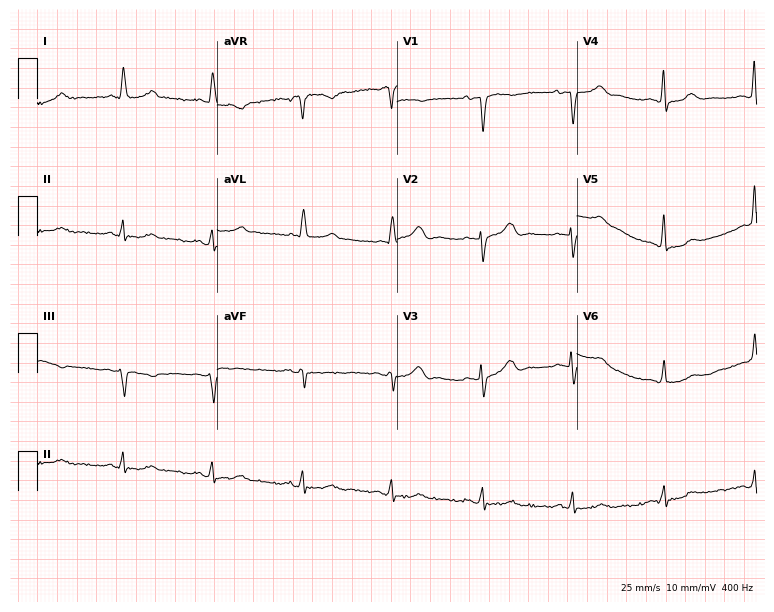
ECG — a female, 81 years old. Screened for six findings — first-degree AV block, right bundle branch block, left bundle branch block, sinus bradycardia, atrial fibrillation, sinus tachycardia — none is recorded.